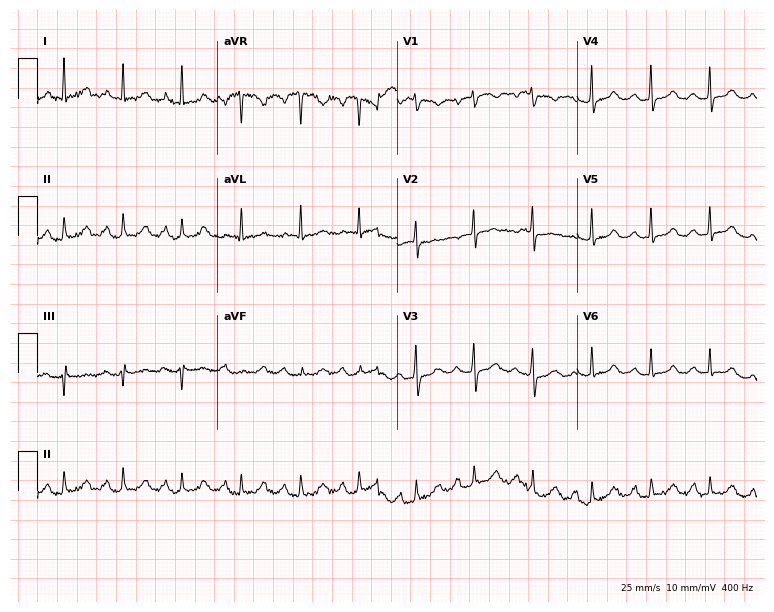
Resting 12-lead electrocardiogram. Patient: a 59-year-old female. Read as a normal ECG.